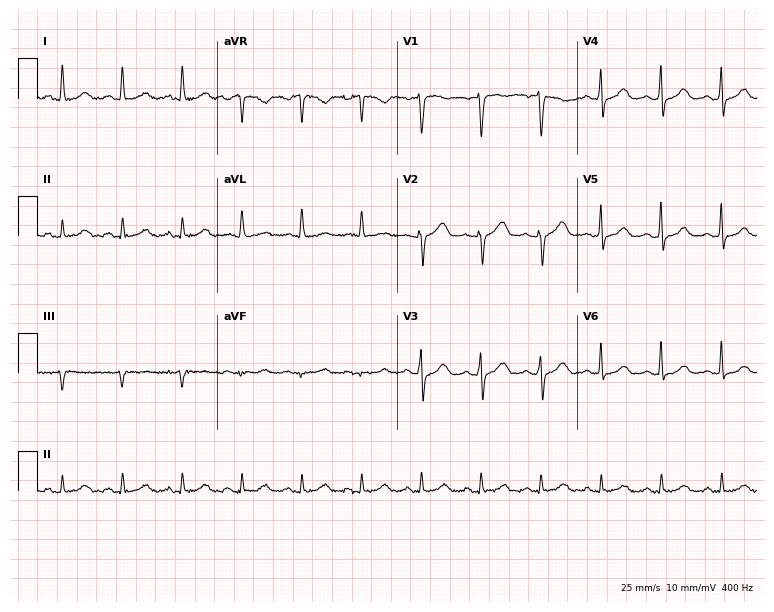
Electrocardiogram, a woman, 55 years old. Of the six screened findings (first-degree AV block, right bundle branch block, left bundle branch block, sinus bradycardia, atrial fibrillation, sinus tachycardia), none is recorded.